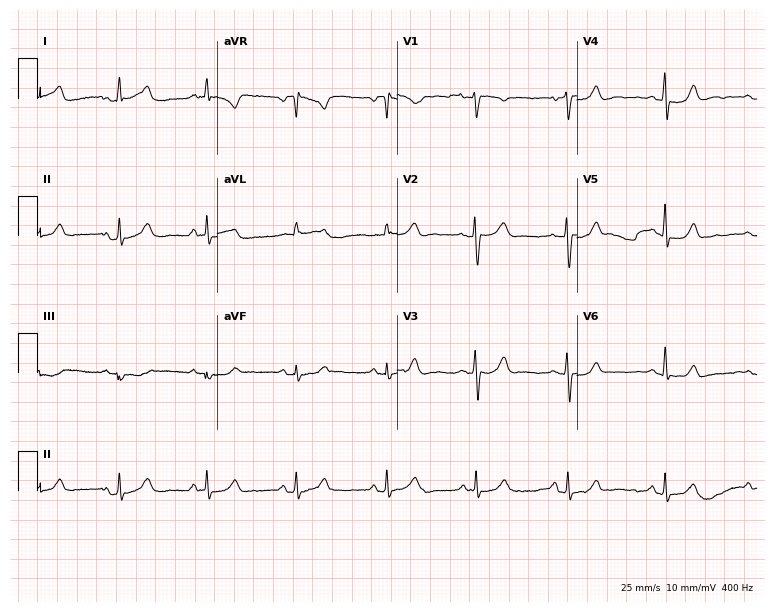
12-lead ECG from a woman, 42 years old (7.3-second recording at 400 Hz). Recorded interpretation: within normal limits.